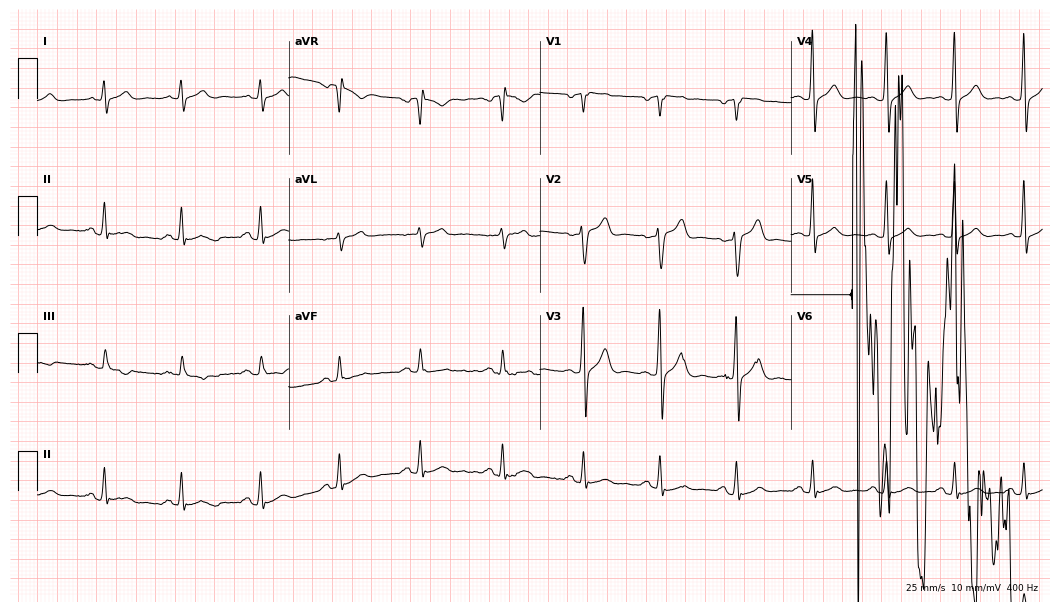
Electrocardiogram, a 34-year-old male. Of the six screened findings (first-degree AV block, right bundle branch block, left bundle branch block, sinus bradycardia, atrial fibrillation, sinus tachycardia), none is recorded. Other findings, if any, are not listed.